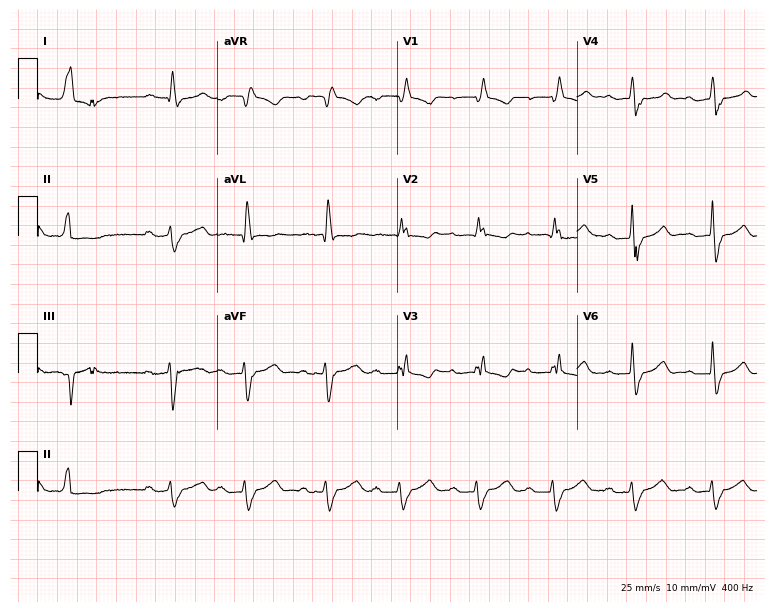
Standard 12-lead ECG recorded from a woman, 80 years old (7.3-second recording at 400 Hz). The tracing shows first-degree AV block.